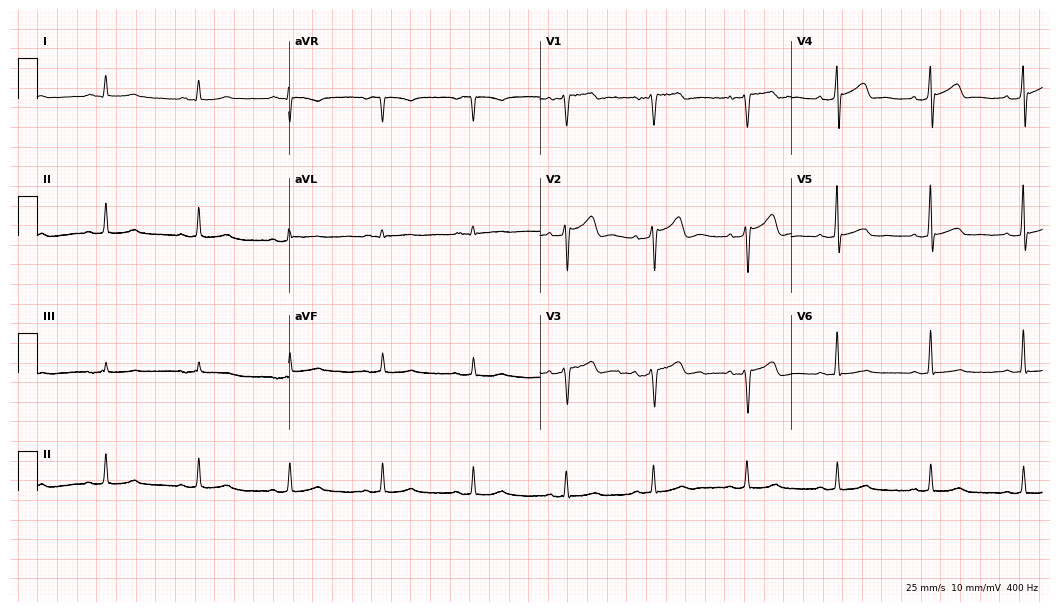
Electrocardiogram (10.2-second recording at 400 Hz), a male, 62 years old. Overall reading on record: normal ECG.